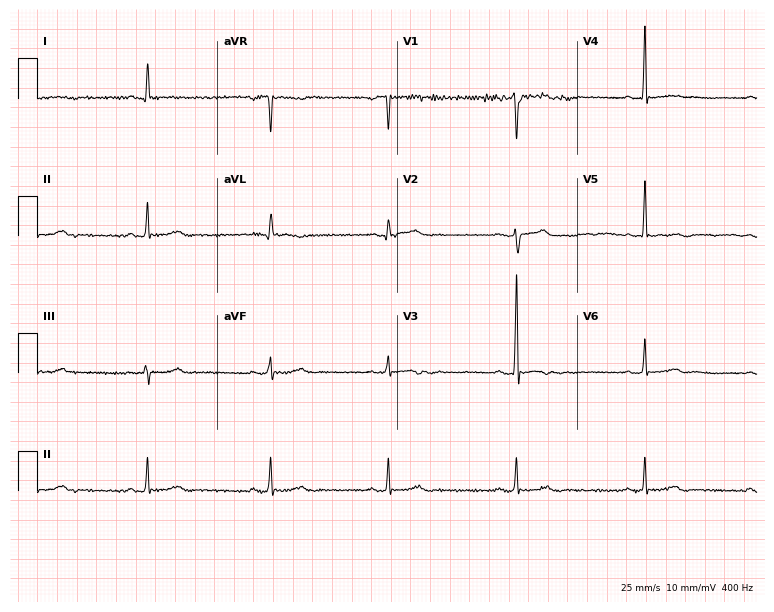
Standard 12-lead ECG recorded from a man, 37 years old (7.3-second recording at 400 Hz). The tracing shows sinus bradycardia (a sinus rate of 50 beats per minute or less).